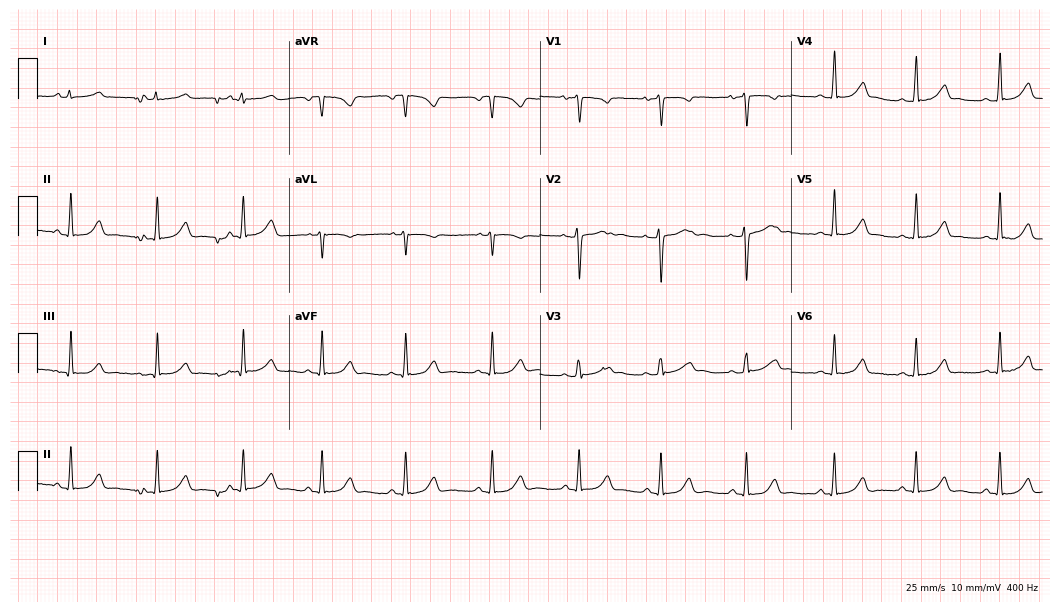
12-lead ECG from a woman, 26 years old. No first-degree AV block, right bundle branch block, left bundle branch block, sinus bradycardia, atrial fibrillation or sinus tachycardia recorded for this tracing.